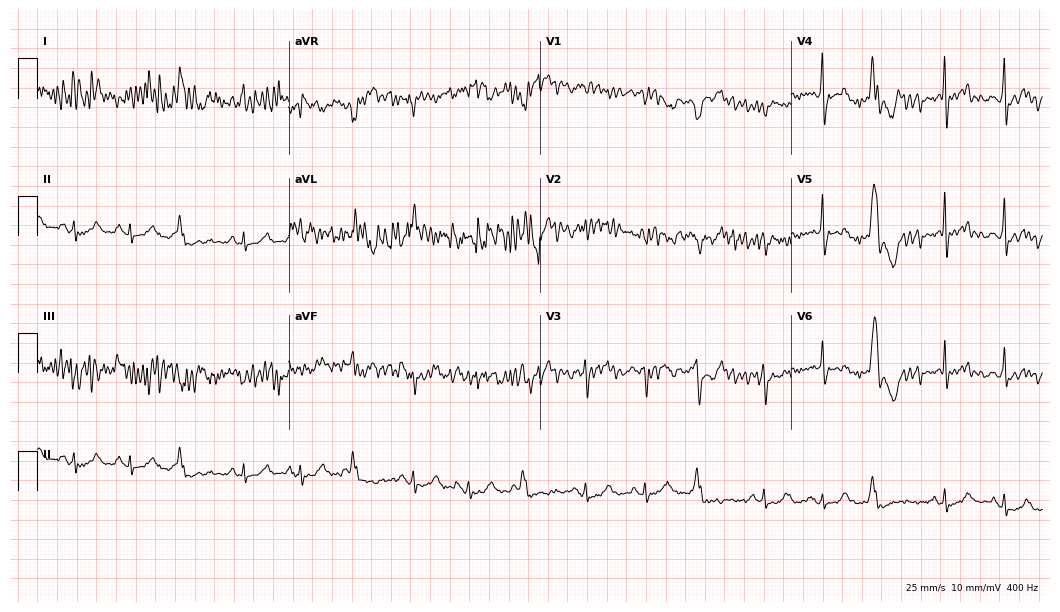
Standard 12-lead ECG recorded from a 64-year-old male patient (10.2-second recording at 400 Hz). None of these six findings is recorded: first-degree AV block, right bundle branch block, left bundle branch block, sinus bradycardia, atrial fibrillation, sinus tachycardia.